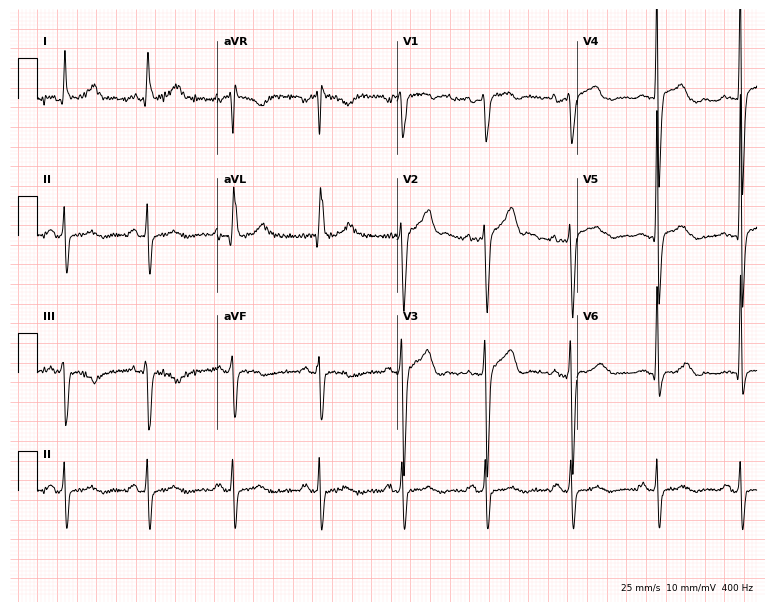
12-lead ECG (7.3-second recording at 400 Hz) from a 45-year-old man. Screened for six findings — first-degree AV block, right bundle branch block, left bundle branch block, sinus bradycardia, atrial fibrillation, sinus tachycardia — none is recorded.